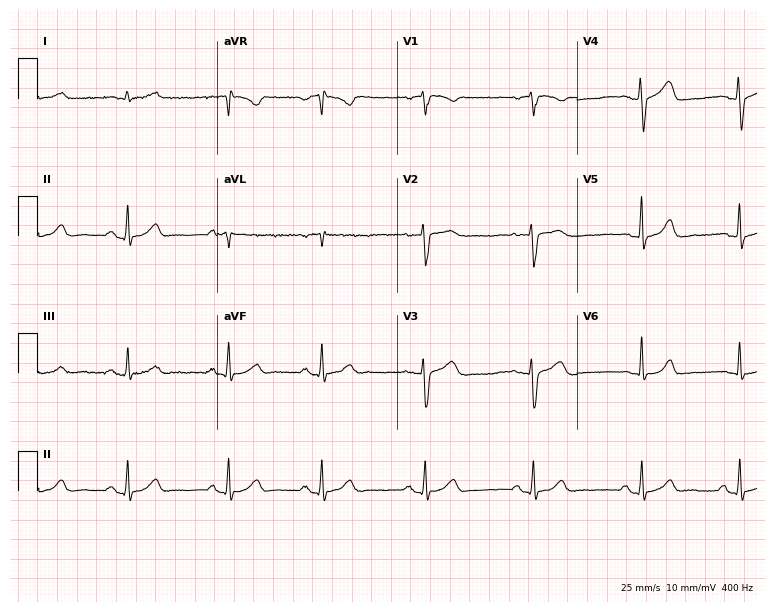
ECG — a female patient, 47 years old. Labelled as a normal ECG.